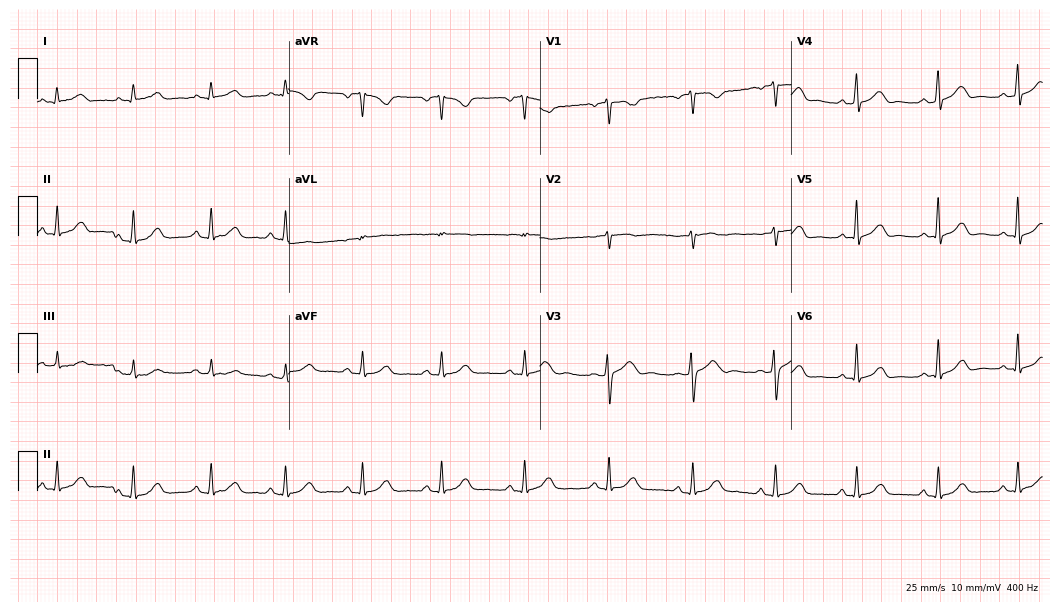
ECG (10.2-second recording at 400 Hz) — a woman, 47 years old. Labelled as a normal ECG.